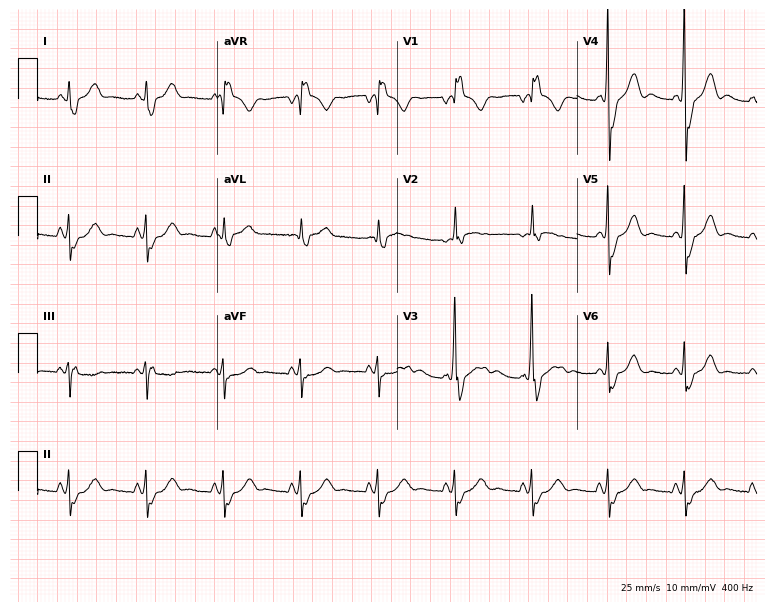
12-lead ECG from a man, 81 years old. Findings include right bundle branch block.